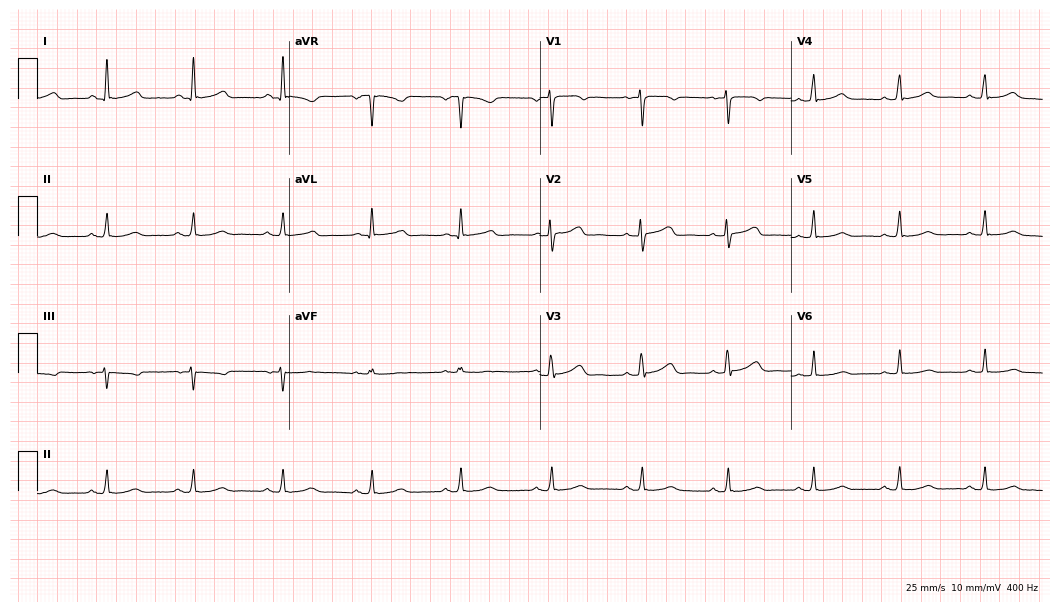
ECG (10.2-second recording at 400 Hz) — a 44-year-old female. Screened for six findings — first-degree AV block, right bundle branch block, left bundle branch block, sinus bradycardia, atrial fibrillation, sinus tachycardia — none is recorded. Only these six findings were labelled.